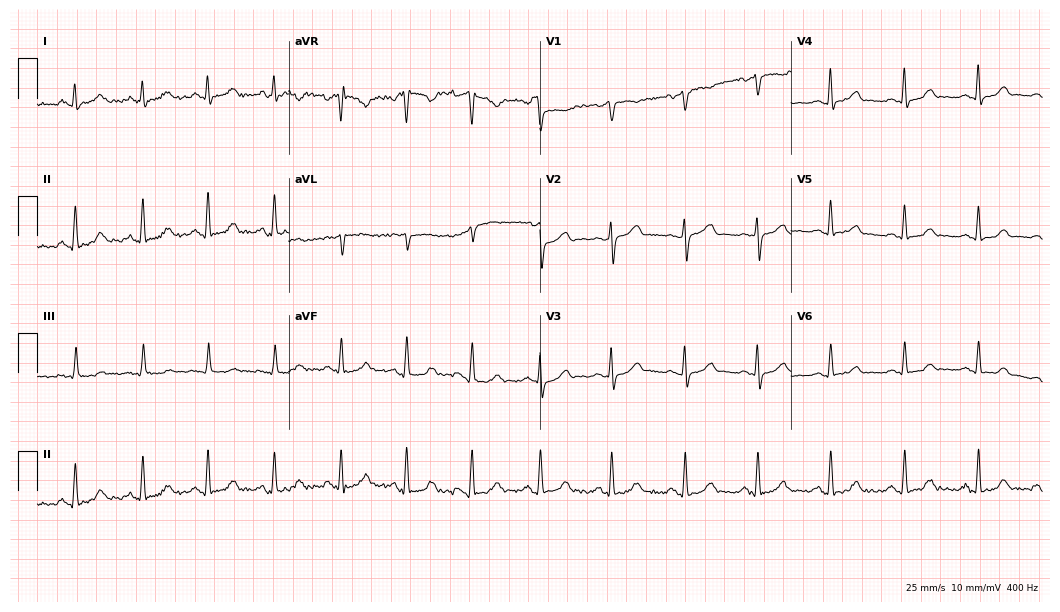
Standard 12-lead ECG recorded from a female, 43 years old (10.2-second recording at 400 Hz). Read as a normal ECG.